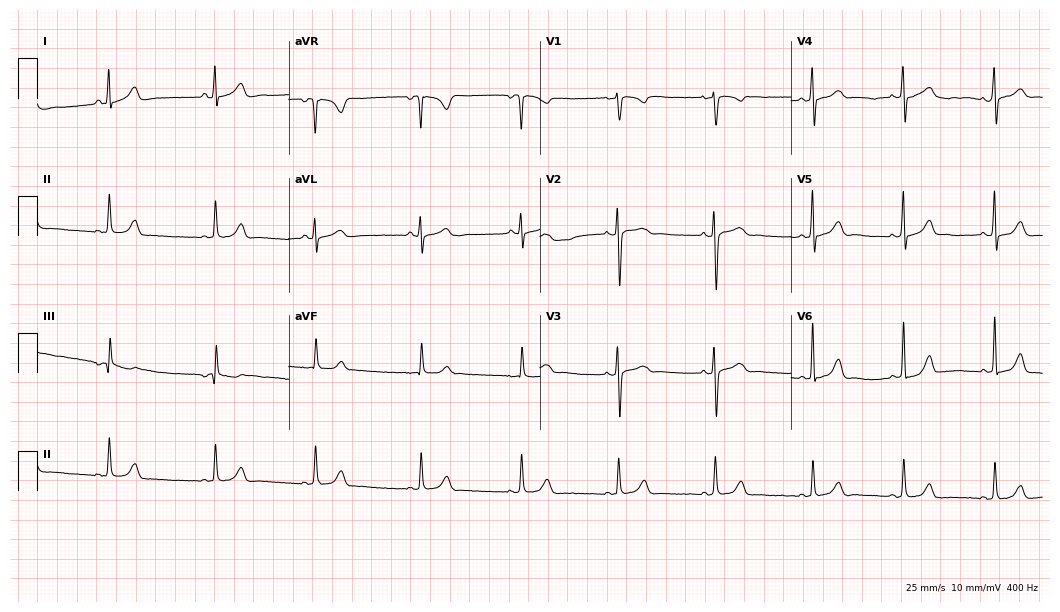
Electrocardiogram (10.2-second recording at 400 Hz), a female, 21 years old. Of the six screened findings (first-degree AV block, right bundle branch block (RBBB), left bundle branch block (LBBB), sinus bradycardia, atrial fibrillation (AF), sinus tachycardia), none is recorded. Only these six findings were labelled.